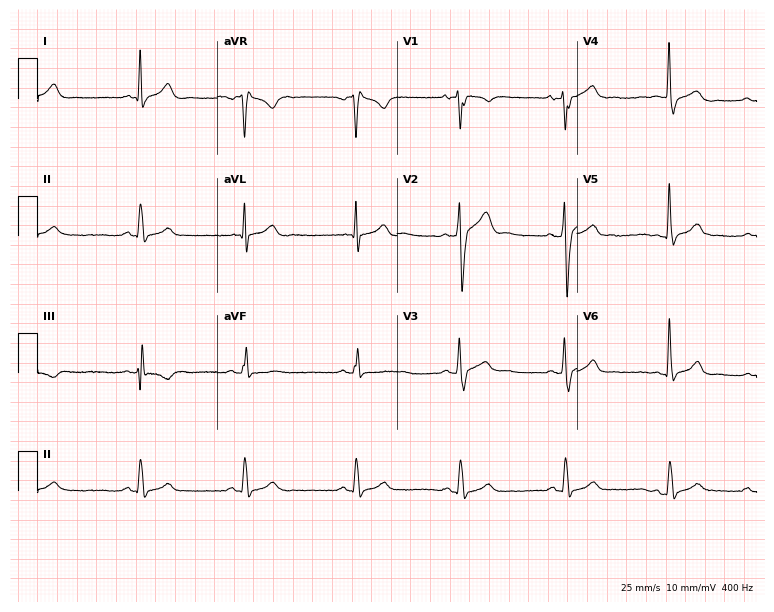
ECG — a male, 34 years old. Screened for six findings — first-degree AV block, right bundle branch block (RBBB), left bundle branch block (LBBB), sinus bradycardia, atrial fibrillation (AF), sinus tachycardia — none is recorded.